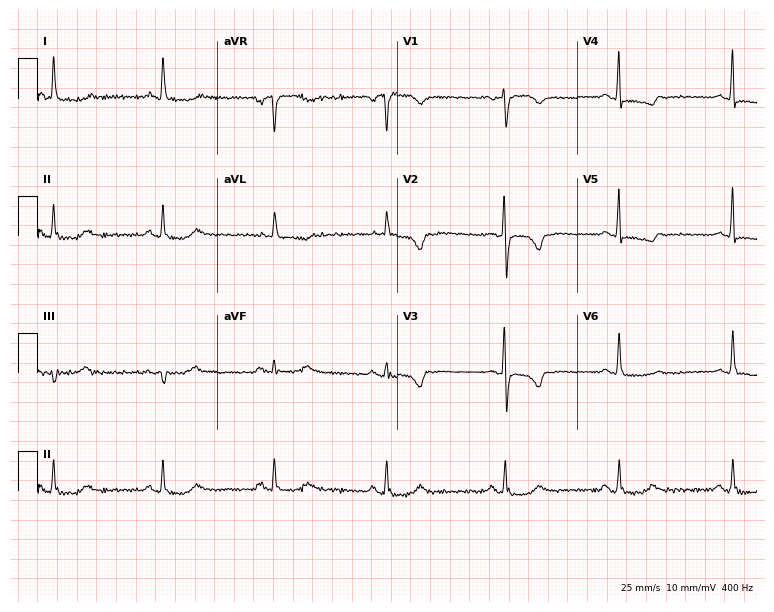
12-lead ECG from a female, 76 years old (7.3-second recording at 400 Hz). No first-degree AV block, right bundle branch block (RBBB), left bundle branch block (LBBB), sinus bradycardia, atrial fibrillation (AF) or sinus tachycardia recorded for this tracing.